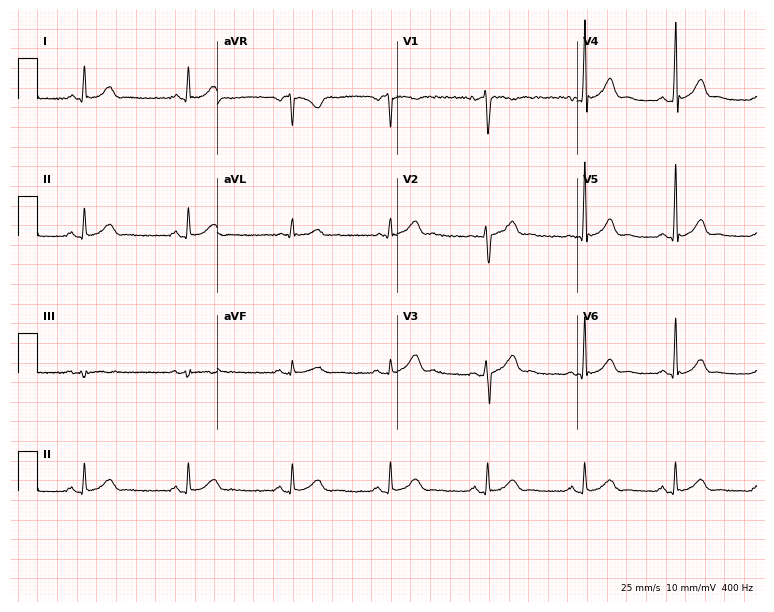
ECG (7.3-second recording at 400 Hz) — a male, 49 years old. Labelled as a normal ECG.